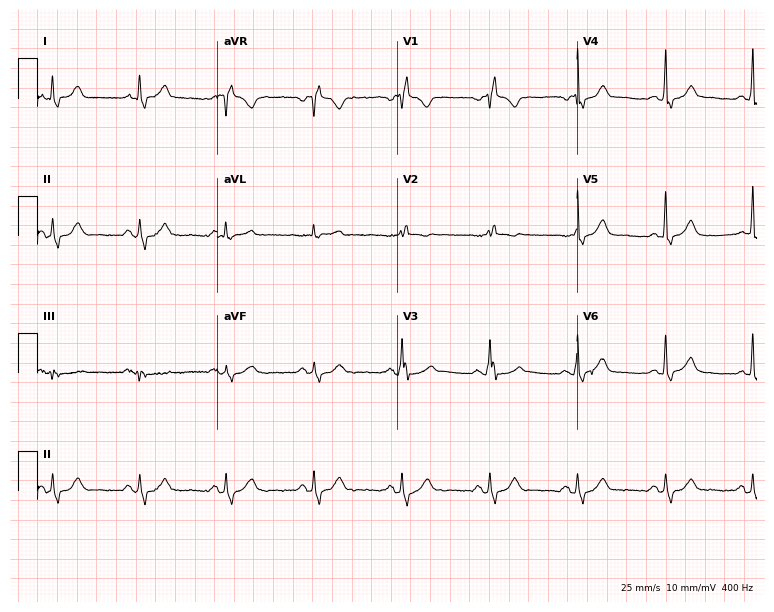
12-lead ECG from a 71-year-old woman. Shows right bundle branch block (RBBB).